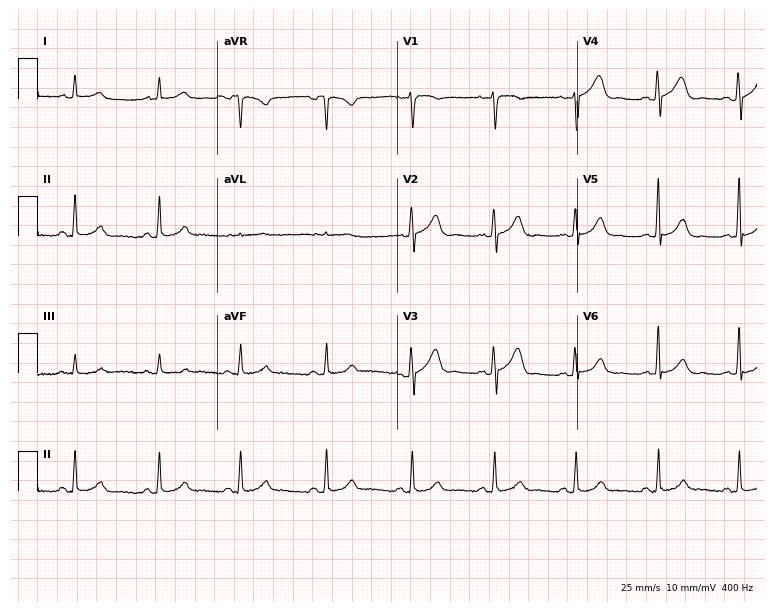
12-lead ECG (7.3-second recording at 400 Hz) from a 35-year-old woman. Screened for six findings — first-degree AV block, right bundle branch block (RBBB), left bundle branch block (LBBB), sinus bradycardia, atrial fibrillation (AF), sinus tachycardia — none is recorded.